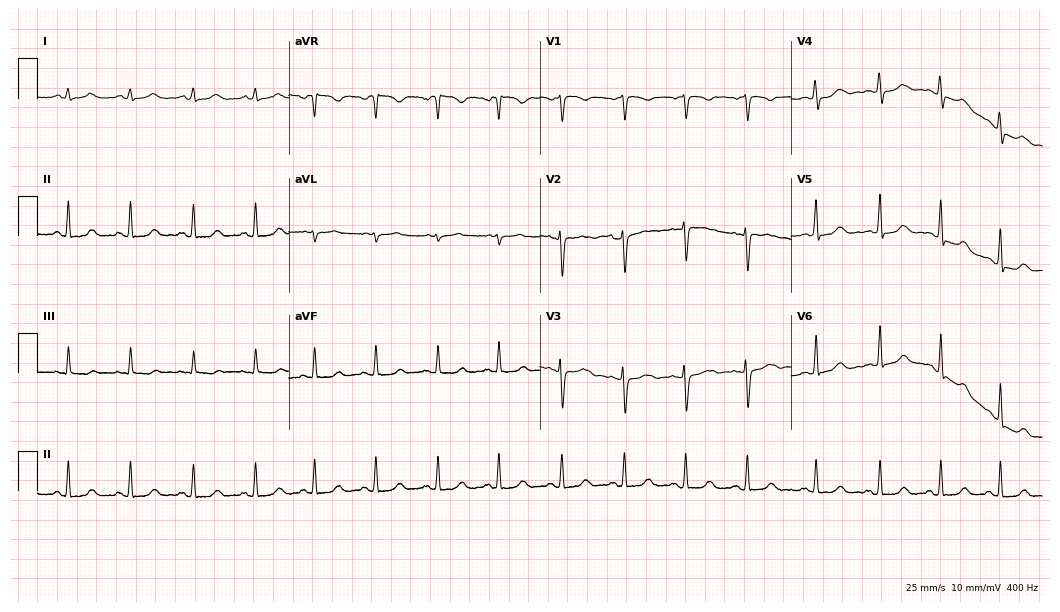
ECG — a female patient, 29 years old. Labelled as a normal ECG.